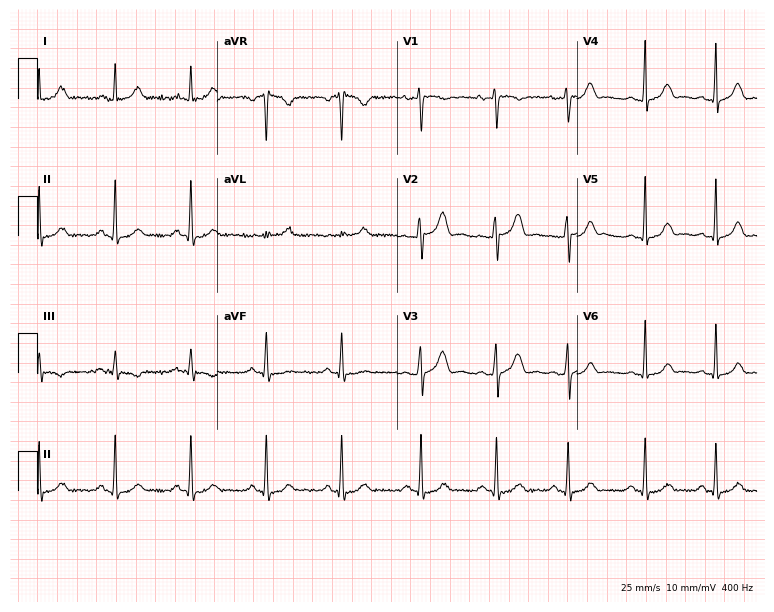
Resting 12-lead electrocardiogram. Patient: a woman, 36 years old. Read as a normal ECG.